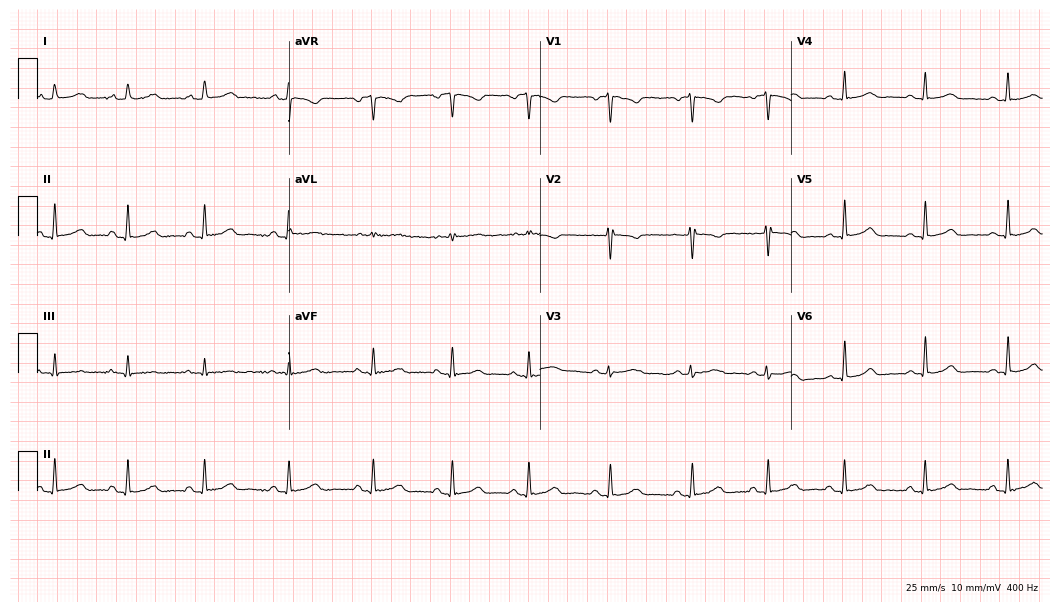
Resting 12-lead electrocardiogram. Patient: a woman, 19 years old. Read as a normal ECG.